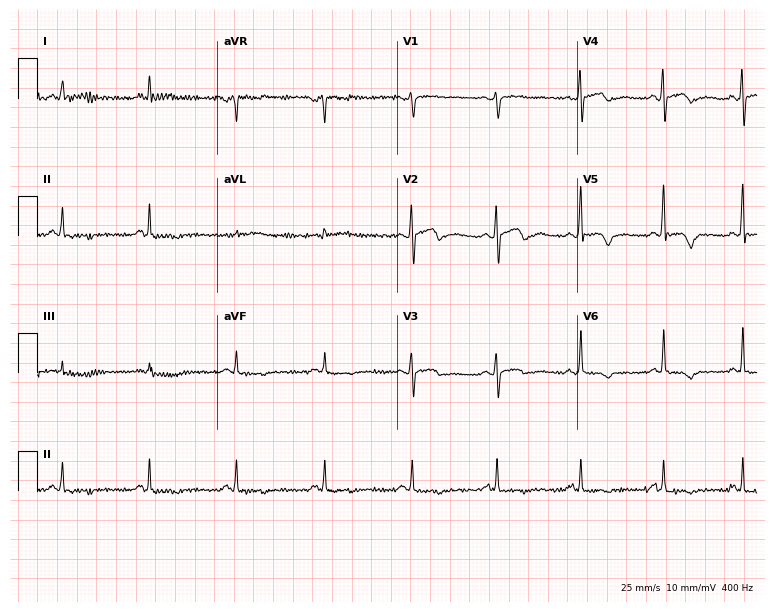
Resting 12-lead electrocardiogram (7.3-second recording at 400 Hz). Patient: a 49-year-old male. None of these six findings is recorded: first-degree AV block, right bundle branch block, left bundle branch block, sinus bradycardia, atrial fibrillation, sinus tachycardia. Only these six findings were labelled.